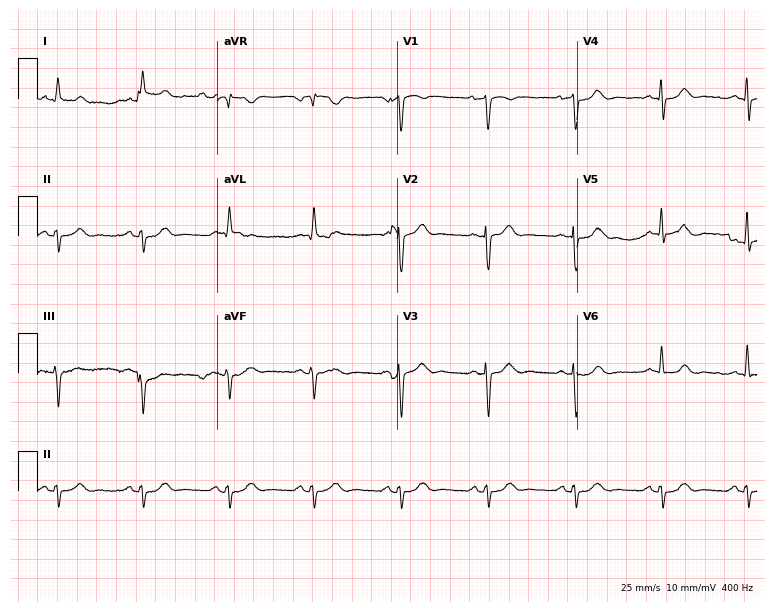
ECG — a 75-year-old male. Screened for six findings — first-degree AV block, right bundle branch block (RBBB), left bundle branch block (LBBB), sinus bradycardia, atrial fibrillation (AF), sinus tachycardia — none is recorded. Findings outside these six are not listed.